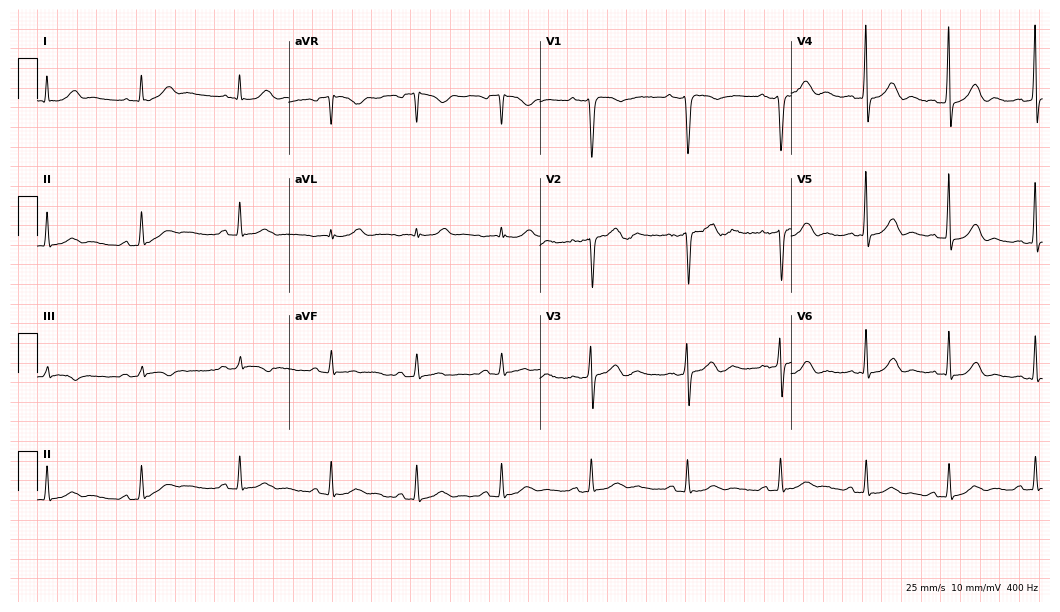
12-lead ECG from a male patient, 47 years old (10.2-second recording at 400 Hz). No first-degree AV block, right bundle branch block (RBBB), left bundle branch block (LBBB), sinus bradycardia, atrial fibrillation (AF) or sinus tachycardia recorded for this tracing.